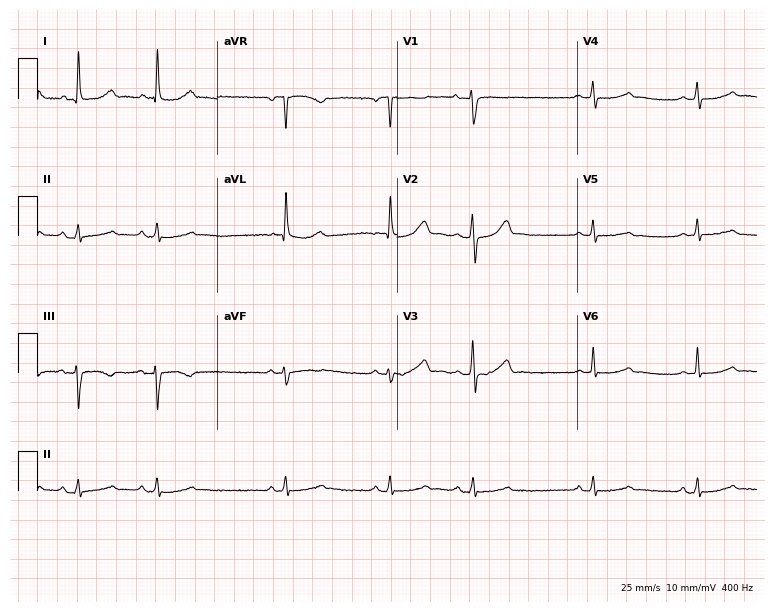
ECG (7.3-second recording at 400 Hz) — a 77-year-old woman. Screened for six findings — first-degree AV block, right bundle branch block, left bundle branch block, sinus bradycardia, atrial fibrillation, sinus tachycardia — none is recorded.